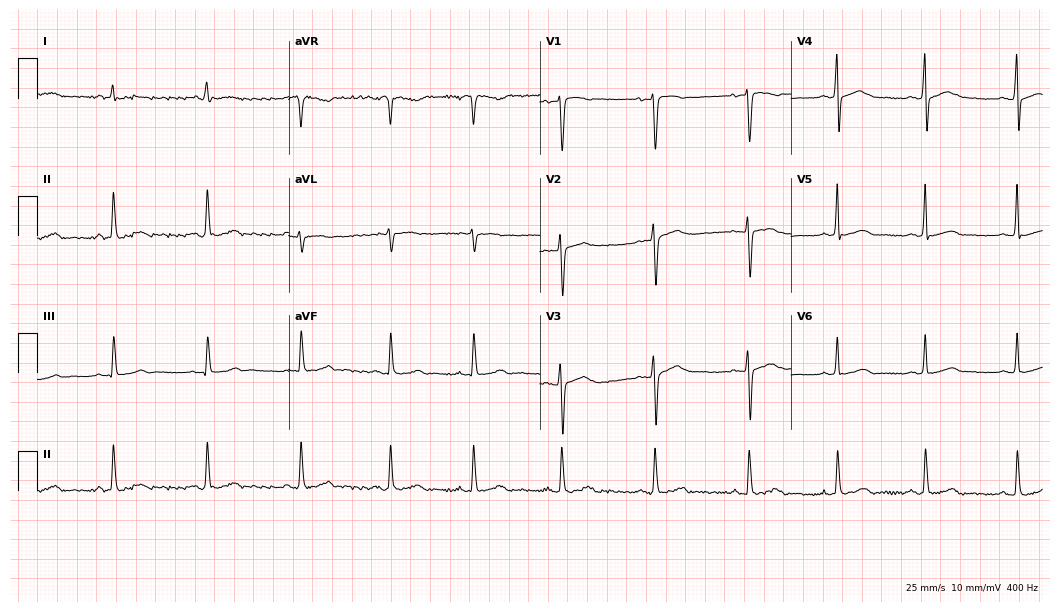
12-lead ECG (10.2-second recording at 400 Hz) from a woman, 32 years old. Screened for six findings — first-degree AV block, right bundle branch block (RBBB), left bundle branch block (LBBB), sinus bradycardia, atrial fibrillation (AF), sinus tachycardia — none is recorded.